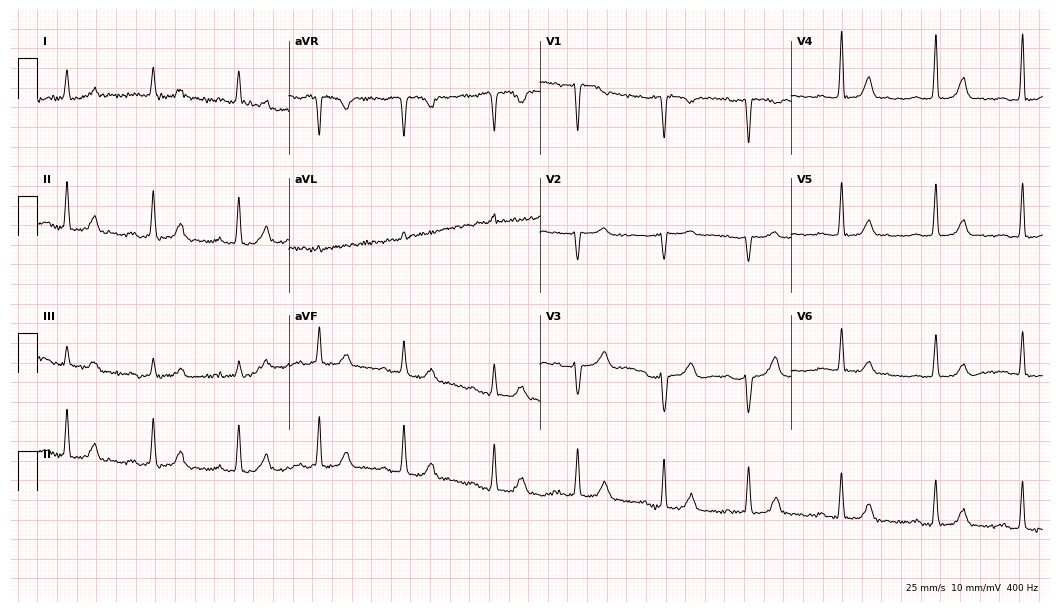
12-lead ECG from a female, 51 years old (10.2-second recording at 400 Hz). Shows first-degree AV block.